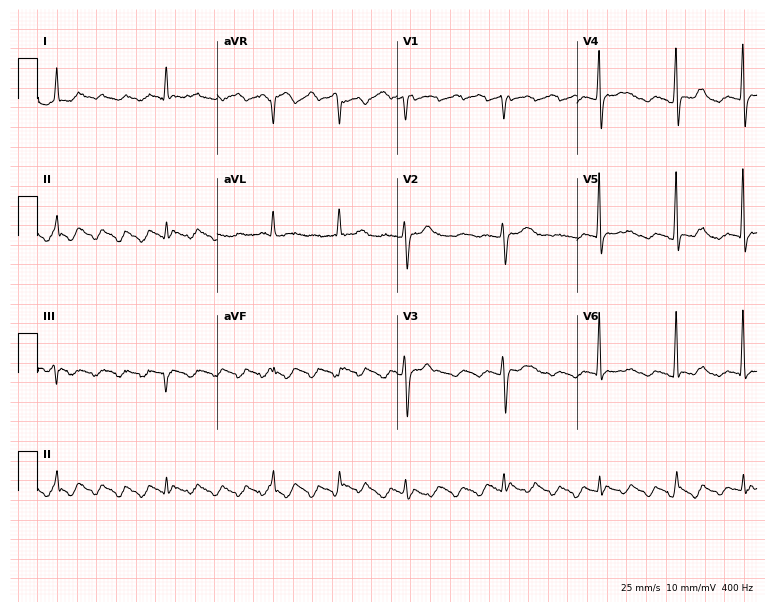
12-lead ECG from a man, 71 years old. No first-degree AV block, right bundle branch block (RBBB), left bundle branch block (LBBB), sinus bradycardia, atrial fibrillation (AF) or sinus tachycardia recorded for this tracing.